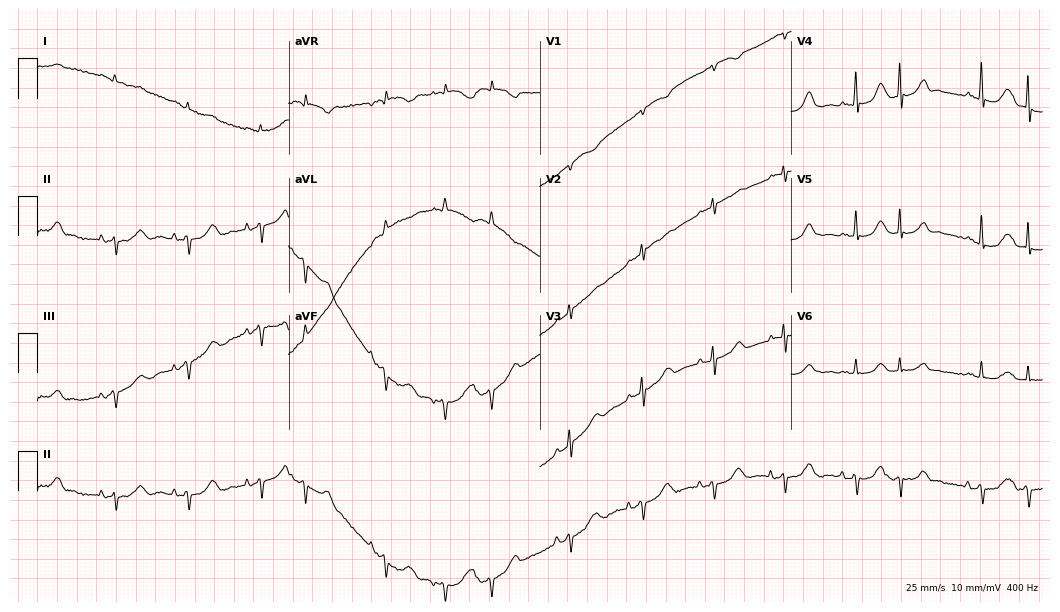
Resting 12-lead electrocardiogram (10.2-second recording at 400 Hz). Patient: a male, 77 years old. None of these six findings is recorded: first-degree AV block, right bundle branch block, left bundle branch block, sinus bradycardia, atrial fibrillation, sinus tachycardia. Only these six findings were labelled.